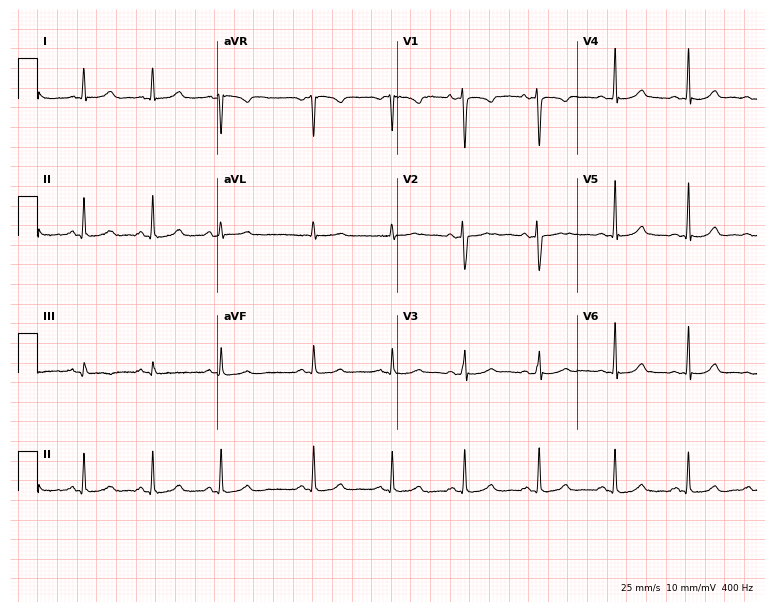
ECG — a 26-year-old woman. Screened for six findings — first-degree AV block, right bundle branch block (RBBB), left bundle branch block (LBBB), sinus bradycardia, atrial fibrillation (AF), sinus tachycardia — none is recorded. Only these six findings were labelled.